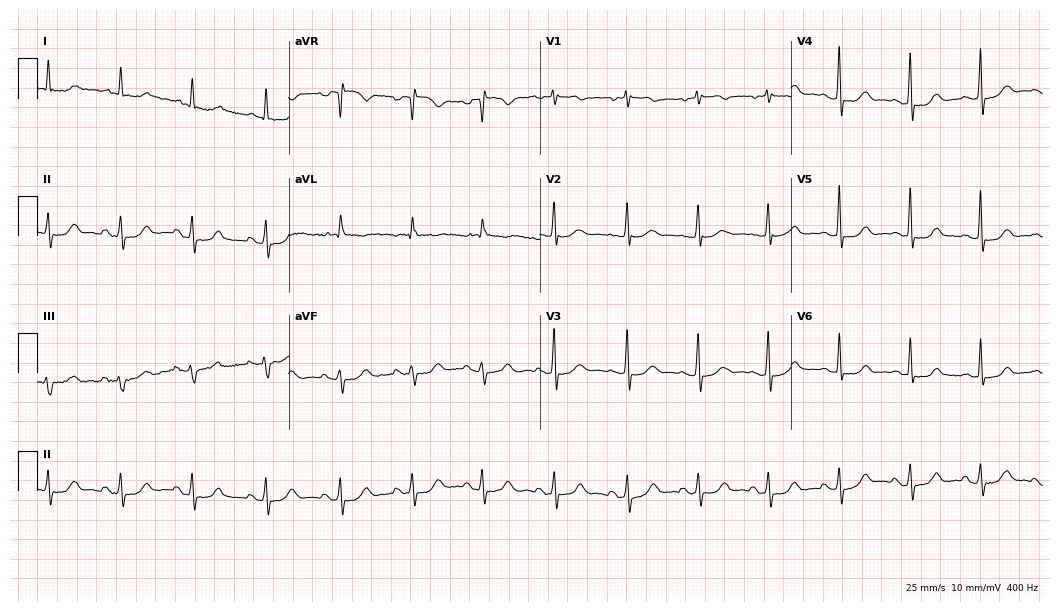
12-lead ECG from a female, 72 years old. No first-degree AV block, right bundle branch block (RBBB), left bundle branch block (LBBB), sinus bradycardia, atrial fibrillation (AF) or sinus tachycardia recorded for this tracing.